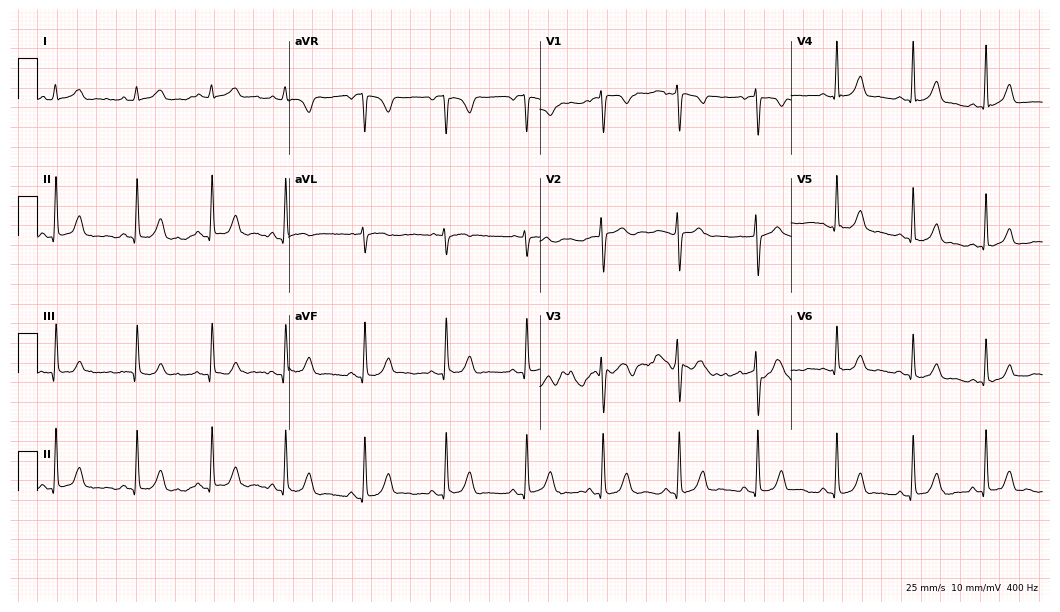
12-lead ECG (10.2-second recording at 400 Hz) from a woman, 20 years old. Labelled as a normal ECG.